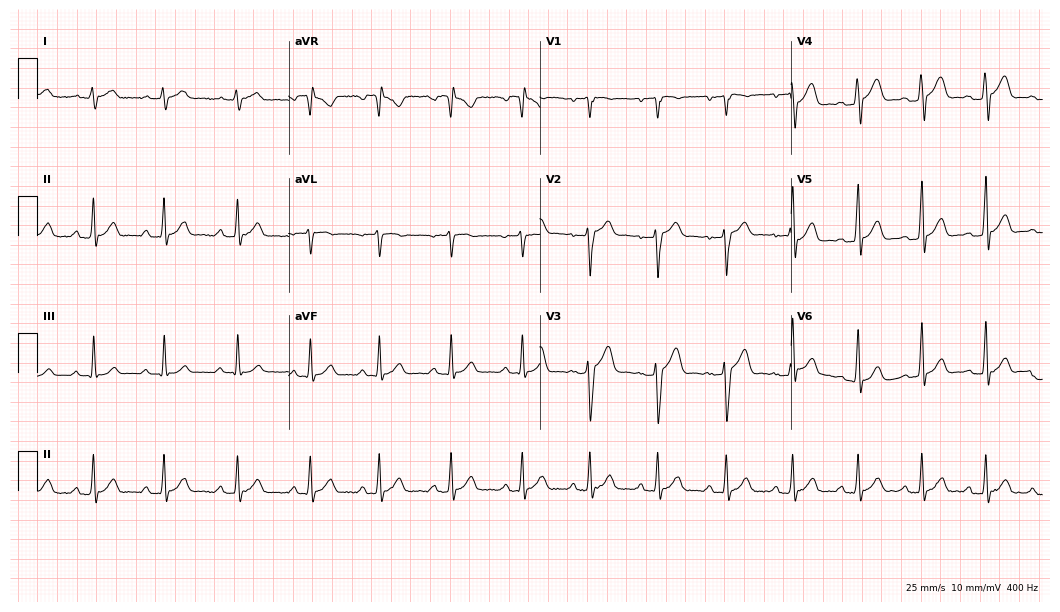
Standard 12-lead ECG recorded from a male patient, 20 years old (10.2-second recording at 400 Hz). Read as a normal ECG.